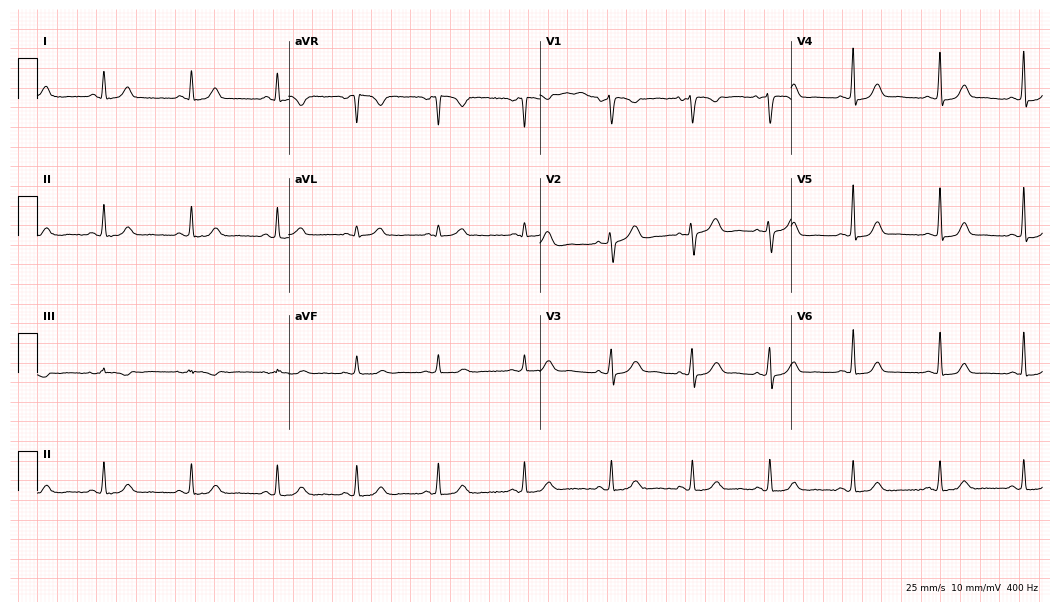
Resting 12-lead electrocardiogram (10.2-second recording at 400 Hz). Patient: a 34-year-old woman. Read as a normal ECG.